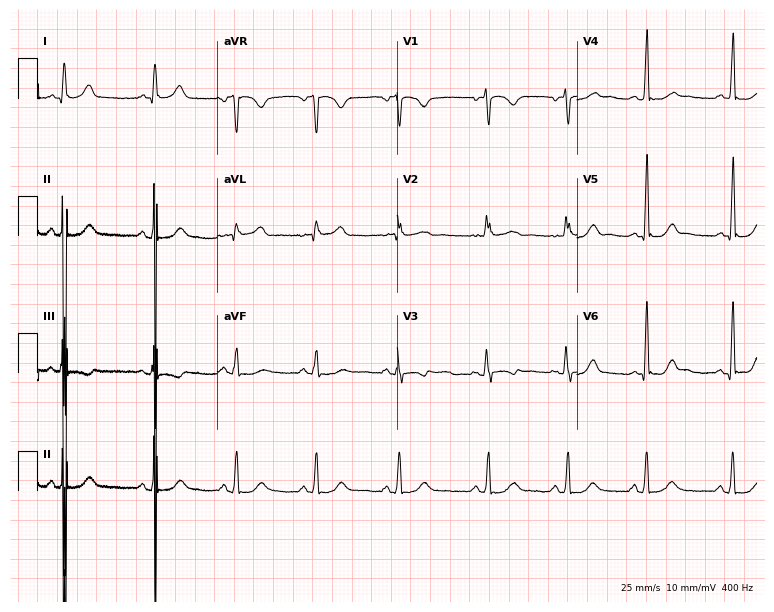
Resting 12-lead electrocardiogram (7.3-second recording at 400 Hz). Patient: a 25-year-old female. None of these six findings is recorded: first-degree AV block, right bundle branch block, left bundle branch block, sinus bradycardia, atrial fibrillation, sinus tachycardia.